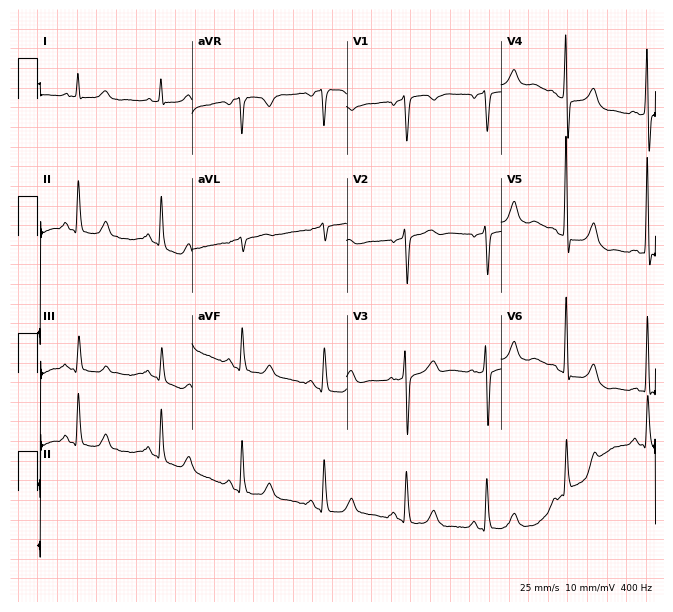
12-lead ECG from a 70-year-old female. Screened for six findings — first-degree AV block, right bundle branch block, left bundle branch block, sinus bradycardia, atrial fibrillation, sinus tachycardia — none is recorded. Findings outside these six are not listed.